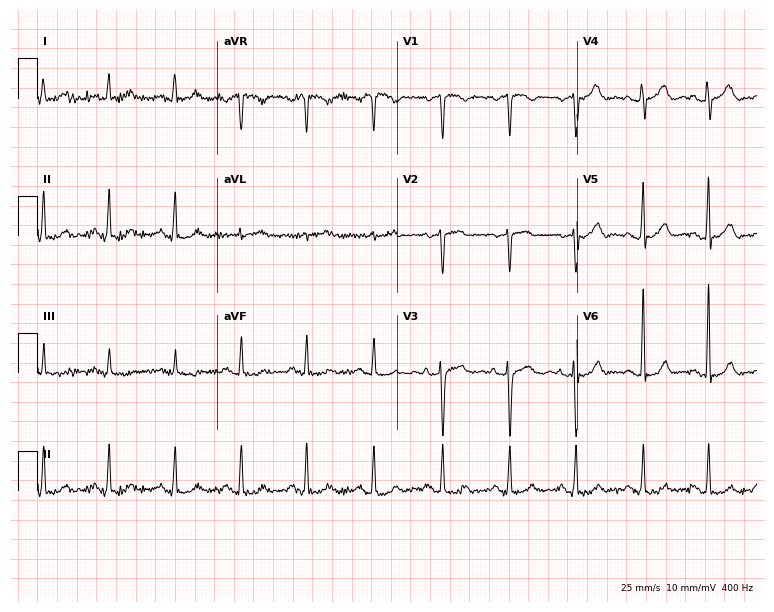
Standard 12-lead ECG recorded from a 42-year-old woman (7.3-second recording at 400 Hz). None of these six findings is recorded: first-degree AV block, right bundle branch block (RBBB), left bundle branch block (LBBB), sinus bradycardia, atrial fibrillation (AF), sinus tachycardia. Only these six findings were labelled.